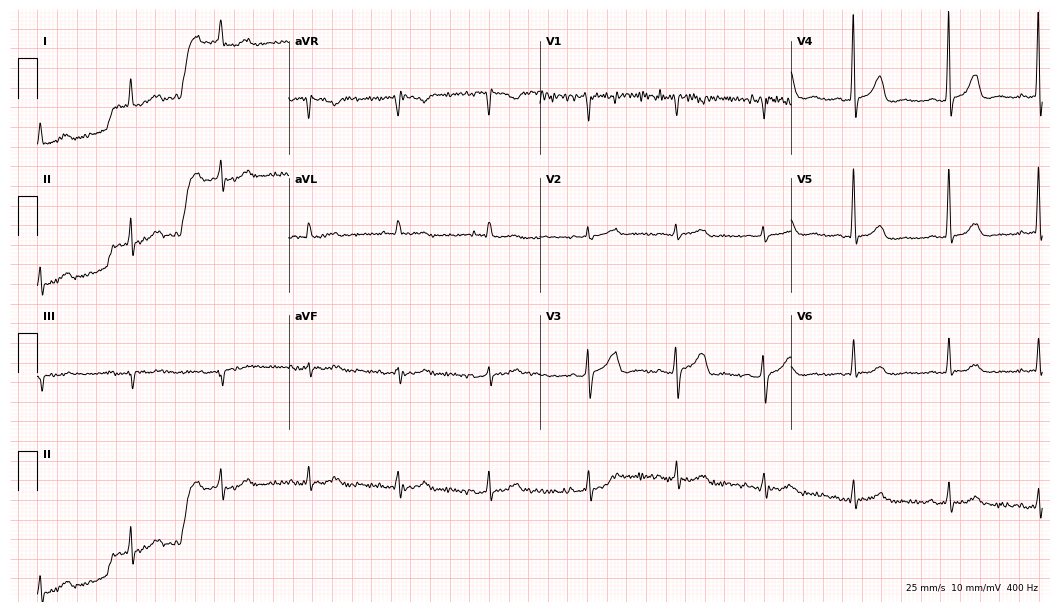
Standard 12-lead ECG recorded from a woman, 85 years old (10.2-second recording at 400 Hz). None of these six findings is recorded: first-degree AV block, right bundle branch block, left bundle branch block, sinus bradycardia, atrial fibrillation, sinus tachycardia.